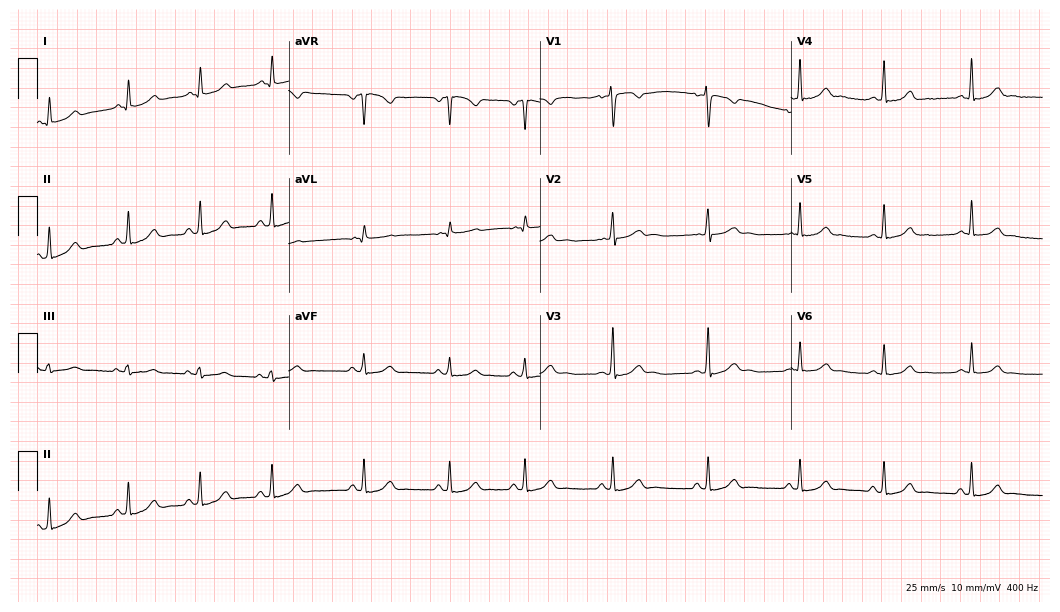
Electrocardiogram (10.2-second recording at 400 Hz), a female, 19 years old. Overall reading on record: normal ECG.